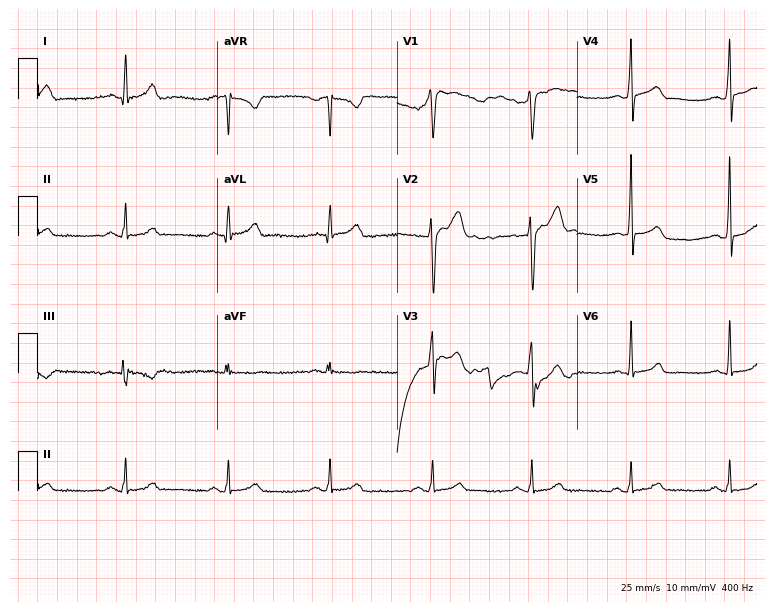
12-lead ECG (7.3-second recording at 400 Hz) from a male patient, 24 years old. Labelled as a normal ECG.